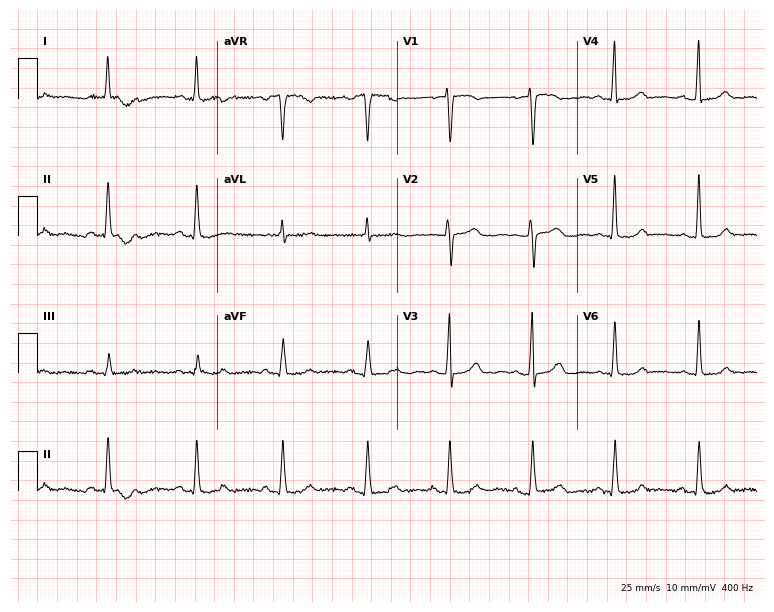
12-lead ECG from a 60-year-old female. Labelled as a normal ECG.